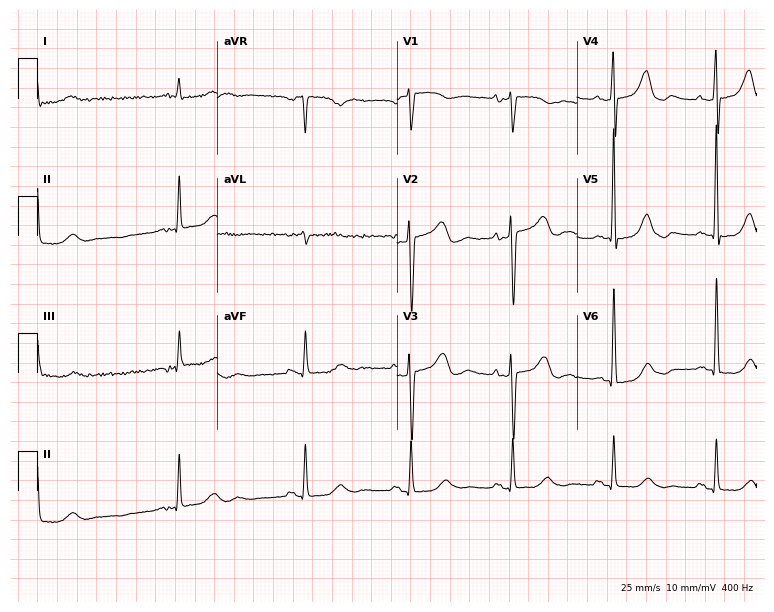
Standard 12-lead ECG recorded from a woman, 80 years old. None of these six findings is recorded: first-degree AV block, right bundle branch block (RBBB), left bundle branch block (LBBB), sinus bradycardia, atrial fibrillation (AF), sinus tachycardia.